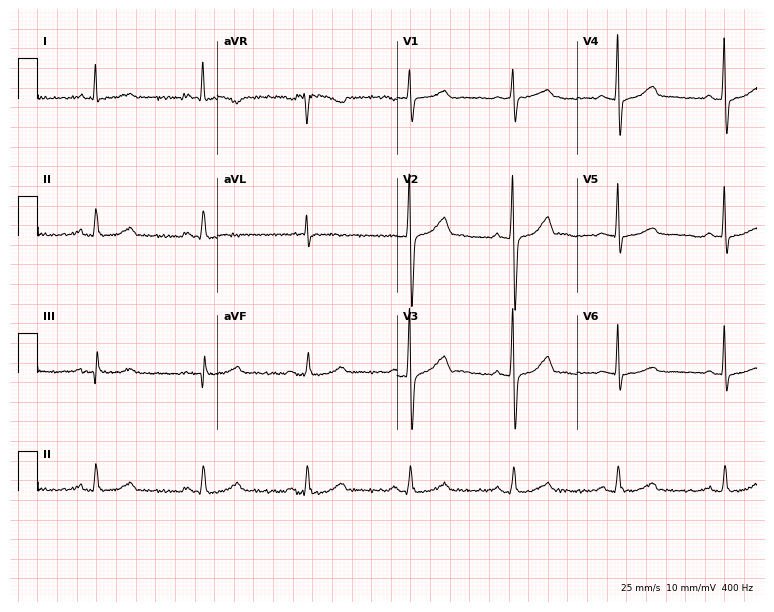
Resting 12-lead electrocardiogram. Patient: a 57-year-old male. None of these six findings is recorded: first-degree AV block, right bundle branch block, left bundle branch block, sinus bradycardia, atrial fibrillation, sinus tachycardia.